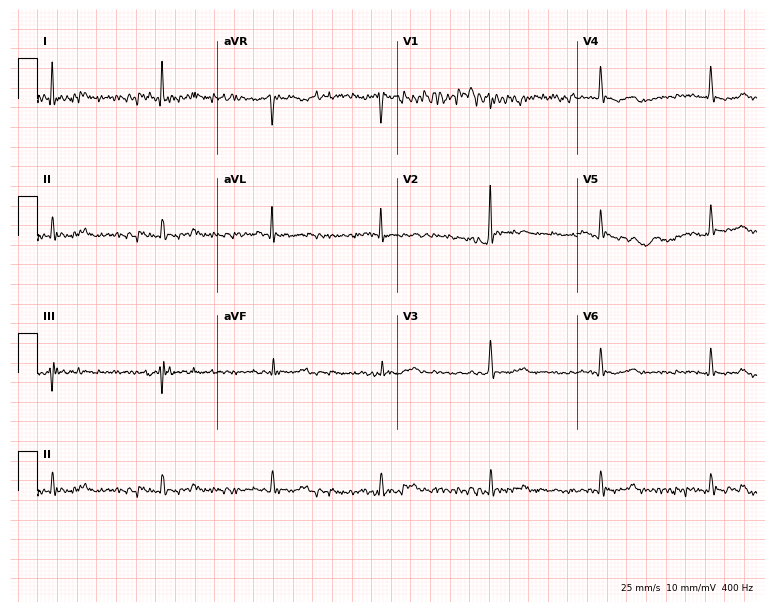
Standard 12-lead ECG recorded from a man, 81 years old. None of these six findings is recorded: first-degree AV block, right bundle branch block (RBBB), left bundle branch block (LBBB), sinus bradycardia, atrial fibrillation (AF), sinus tachycardia.